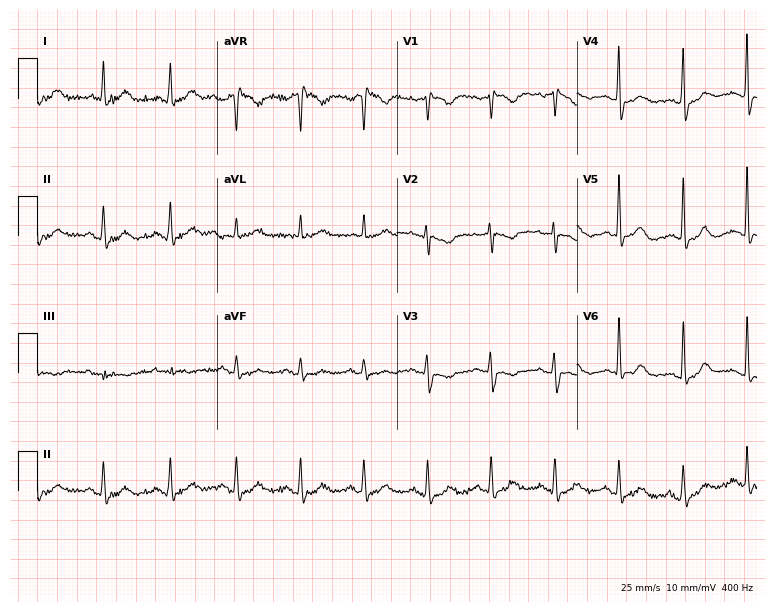
Electrocardiogram, a woman, 63 years old. Of the six screened findings (first-degree AV block, right bundle branch block (RBBB), left bundle branch block (LBBB), sinus bradycardia, atrial fibrillation (AF), sinus tachycardia), none is recorded. Only these six findings were labelled.